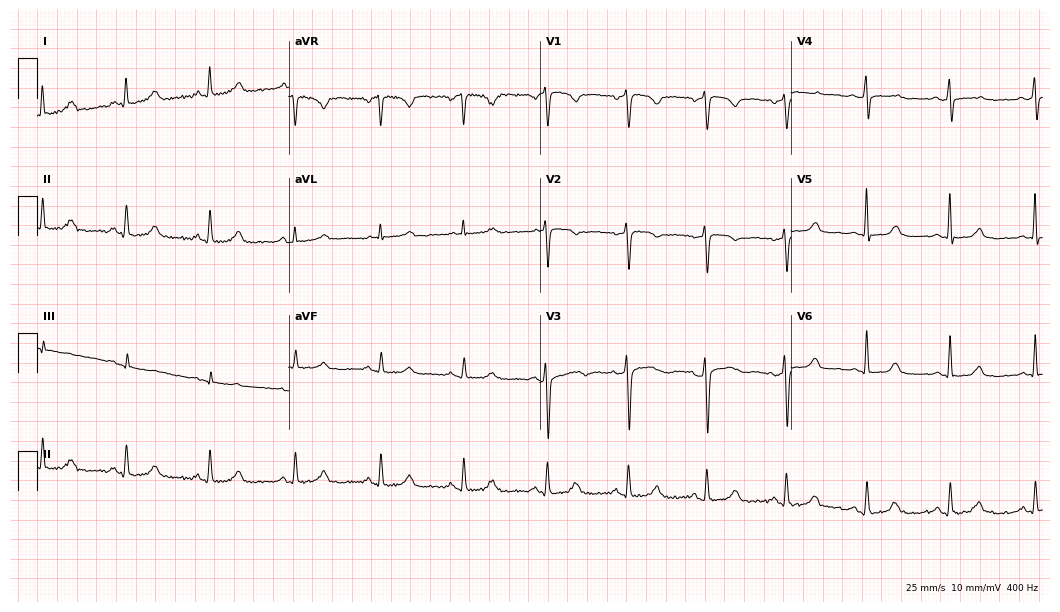
12-lead ECG (10.2-second recording at 400 Hz) from a 57-year-old female. Labelled as a normal ECG.